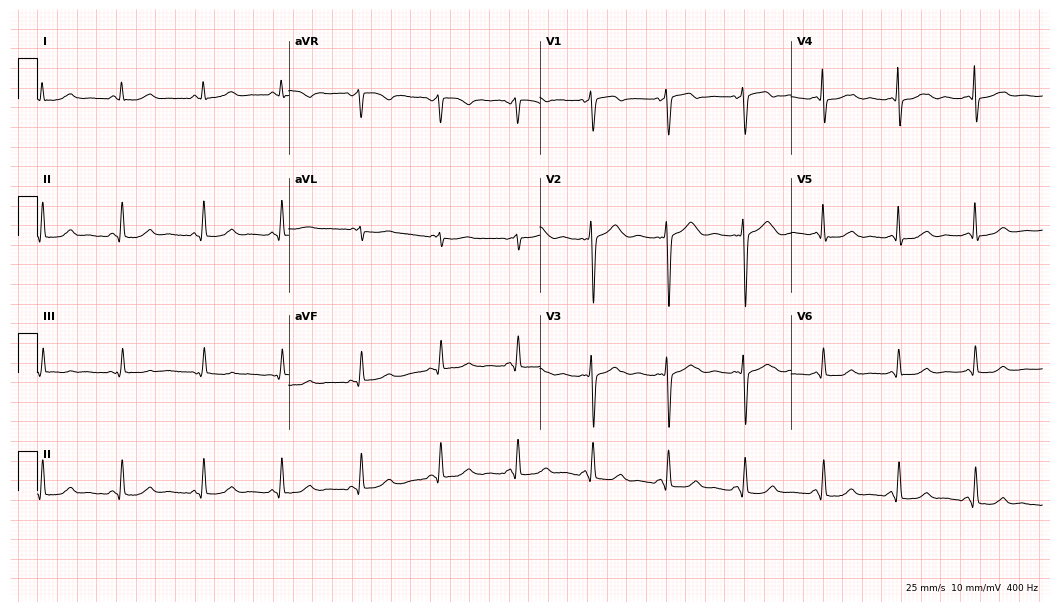
ECG (10.2-second recording at 400 Hz) — a 46-year-old female. Screened for six findings — first-degree AV block, right bundle branch block, left bundle branch block, sinus bradycardia, atrial fibrillation, sinus tachycardia — none is recorded.